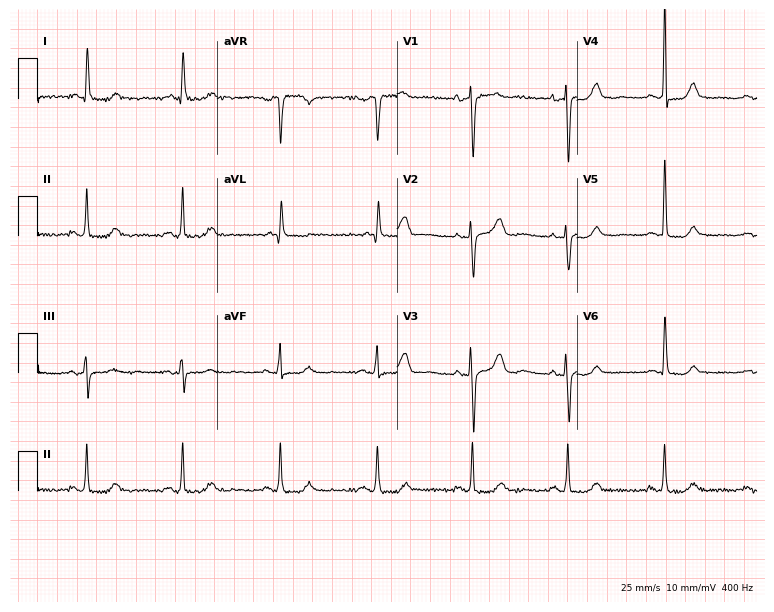
Resting 12-lead electrocardiogram. Patient: a 78-year-old female. None of these six findings is recorded: first-degree AV block, right bundle branch block, left bundle branch block, sinus bradycardia, atrial fibrillation, sinus tachycardia. Only these six findings were labelled.